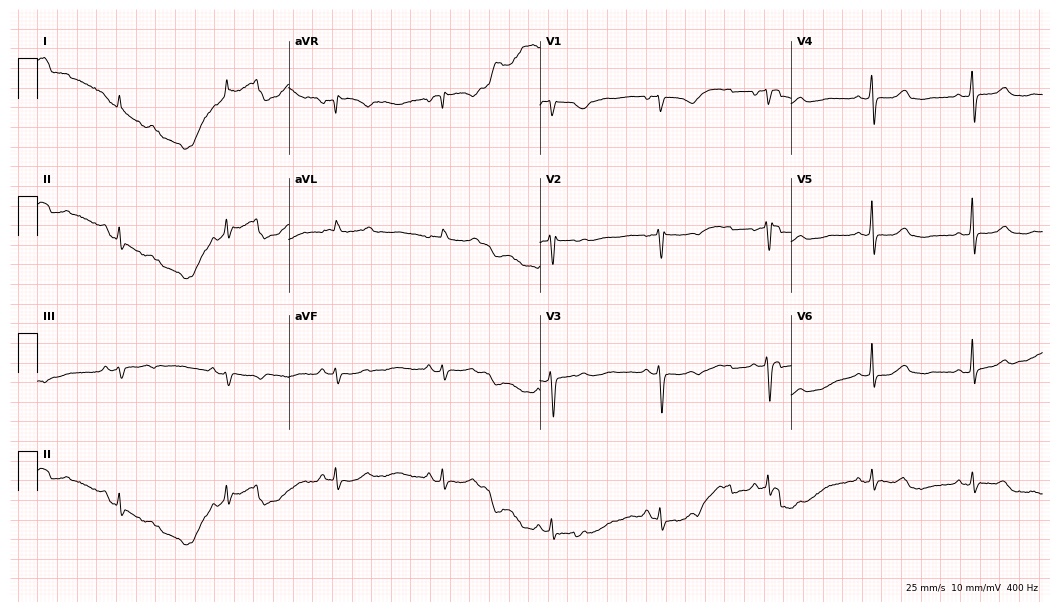
ECG (10.2-second recording at 400 Hz) — a 75-year-old female. Screened for six findings — first-degree AV block, right bundle branch block (RBBB), left bundle branch block (LBBB), sinus bradycardia, atrial fibrillation (AF), sinus tachycardia — none is recorded. Only these six findings were labelled.